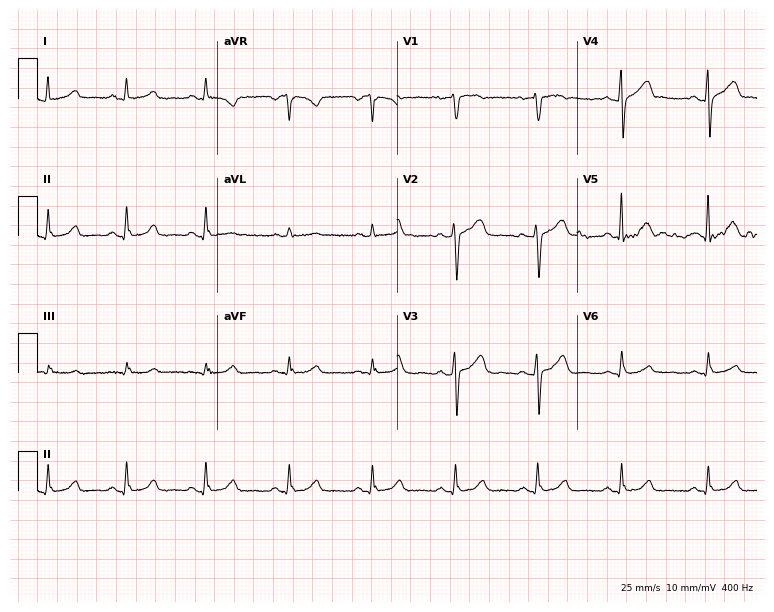
12-lead ECG (7.3-second recording at 400 Hz) from a 50-year-old female. Labelled as a normal ECG.